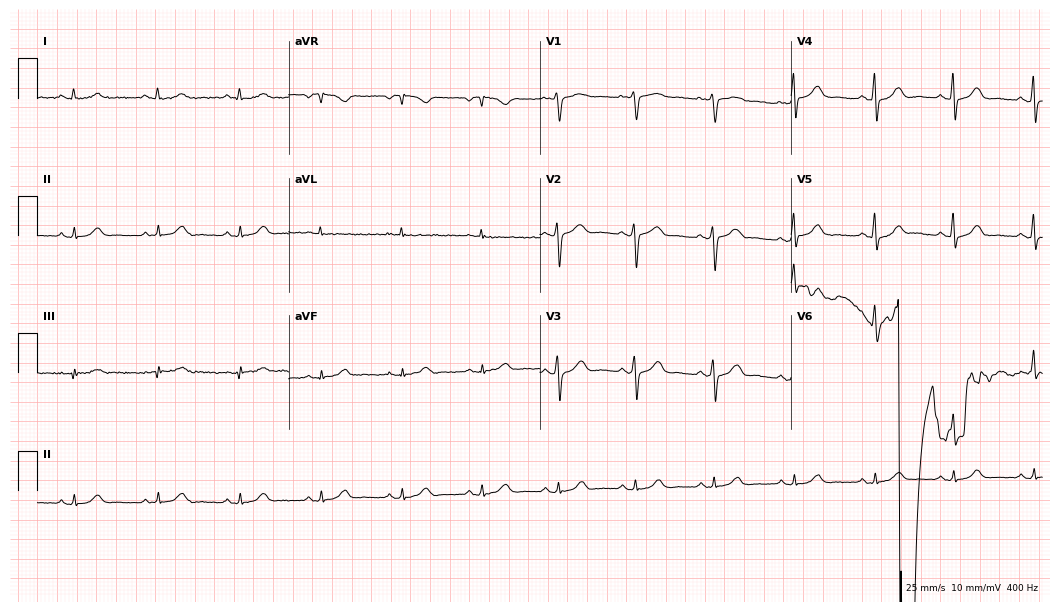
Electrocardiogram (10.2-second recording at 400 Hz), a 67-year-old male patient. Of the six screened findings (first-degree AV block, right bundle branch block (RBBB), left bundle branch block (LBBB), sinus bradycardia, atrial fibrillation (AF), sinus tachycardia), none is recorded.